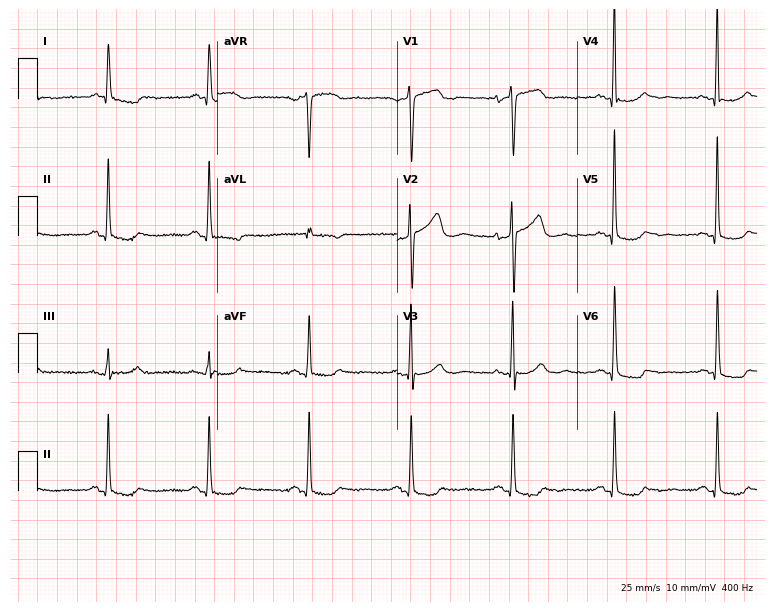
12-lead ECG from a female, 75 years old. Screened for six findings — first-degree AV block, right bundle branch block, left bundle branch block, sinus bradycardia, atrial fibrillation, sinus tachycardia — none is recorded.